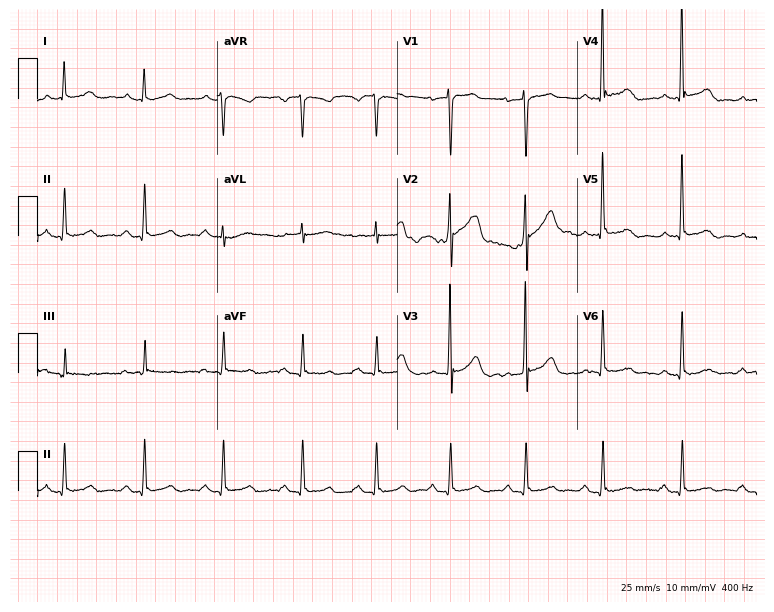
Electrocardiogram, a 54-year-old man. Of the six screened findings (first-degree AV block, right bundle branch block, left bundle branch block, sinus bradycardia, atrial fibrillation, sinus tachycardia), none is recorded. Other findings, if any, are not listed.